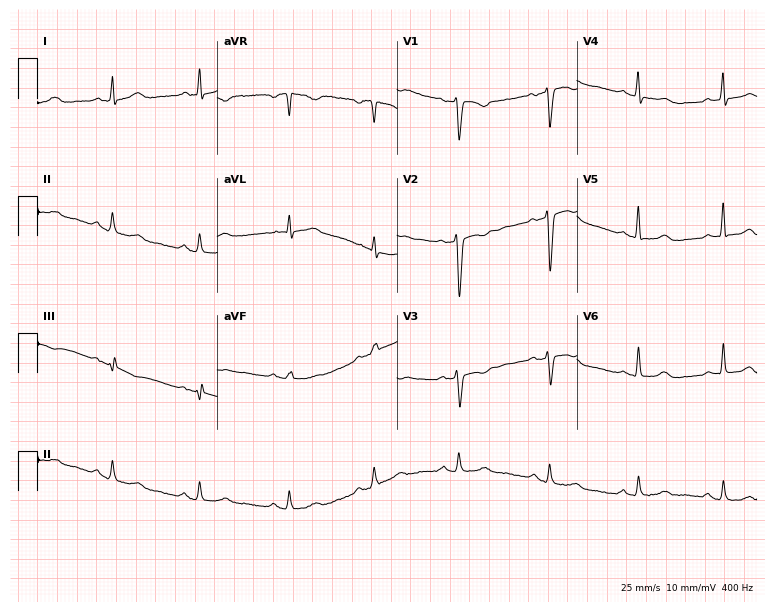
Resting 12-lead electrocardiogram. Patient: a 45-year-old female. None of these six findings is recorded: first-degree AV block, right bundle branch block, left bundle branch block, sinus bradycardia, atrial fibrillation, sinus tachycardia.